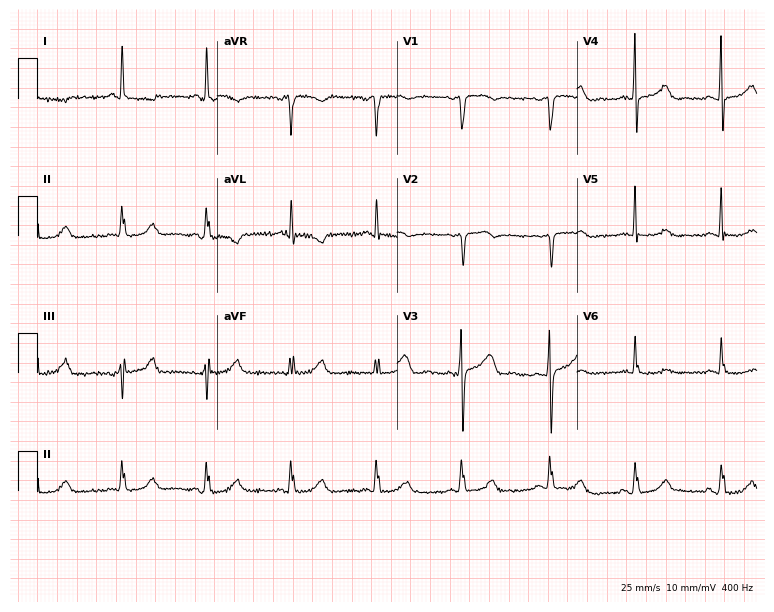
Resting 12-lead electrocardiogram. Patient: a 60-year-old female. None of these six findings is recorded: first-degree AV block, right bundle branch block, left bundle branch block, sinus bradycardia, atrial fibrillation, sinus tachycardia. Other findings, if any, are not listed.